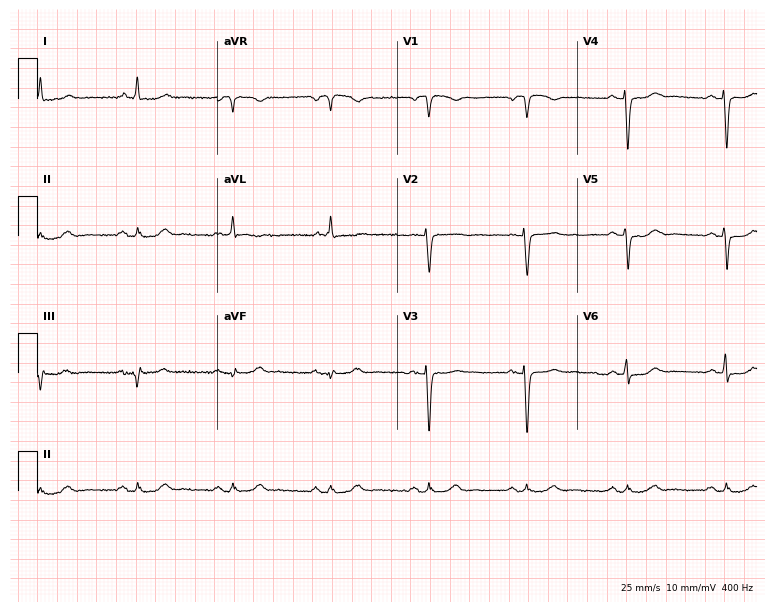
Resting 12-lead electrocardiogram. Patient: a man, 80 years old. None of these six findings is recorded: first-degree AV block, right bundle branch block, left bundle branch block, sinus bradycardia, atrial fibrillation, sinus tachycardia.